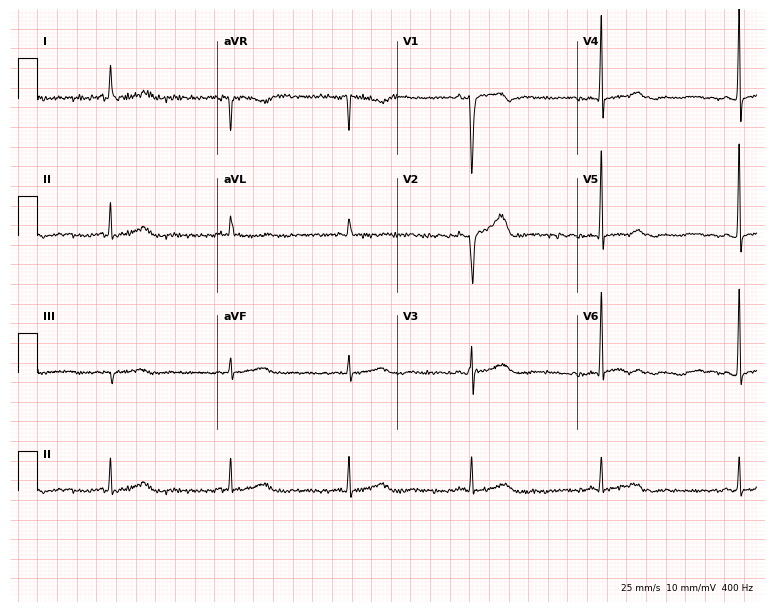
ECG — a 69-year-old male patient. Screened for six findings — first-degree AV block, right bundle branch block, left bundle branch block, sinus bradycardia, atrial fibrillation, sinus tachycardia — none is recorded. Findings outside these six are not listed.